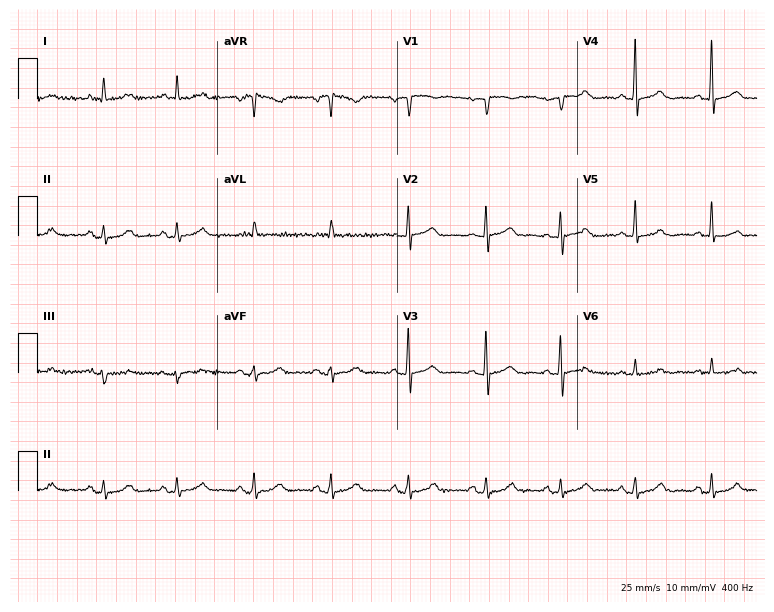
Electrocardiogram (7.3-second recording at 400 Hz), a female patient, 77 years old. Of the six screened findings (first-degree AV block, right bundle branch block, left bundle branch block, sinus bradycardia, atrial fibrillation, sinus tachycardia), none is recorded. Other findings, if any, are not listed.